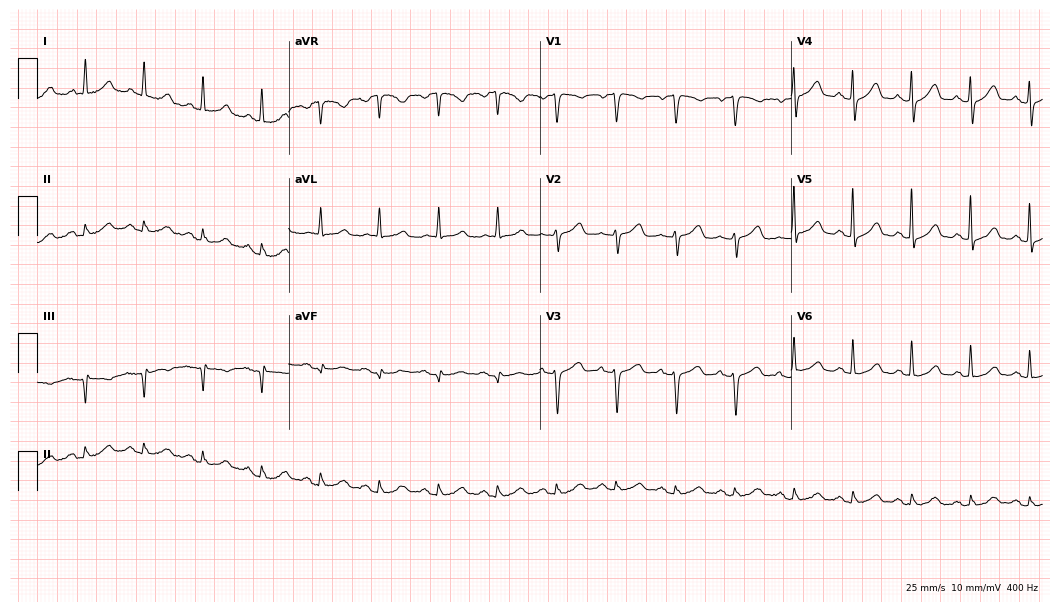
Electrocardiogram, a 65-year-old female. Of the six screened findings (first-degree AV block, right bundle branch block, left bundle branch block, sinus bradycardia, atrial fibrillation, sinus tachycardia), none is recorded. Findings outside these six are not listed.